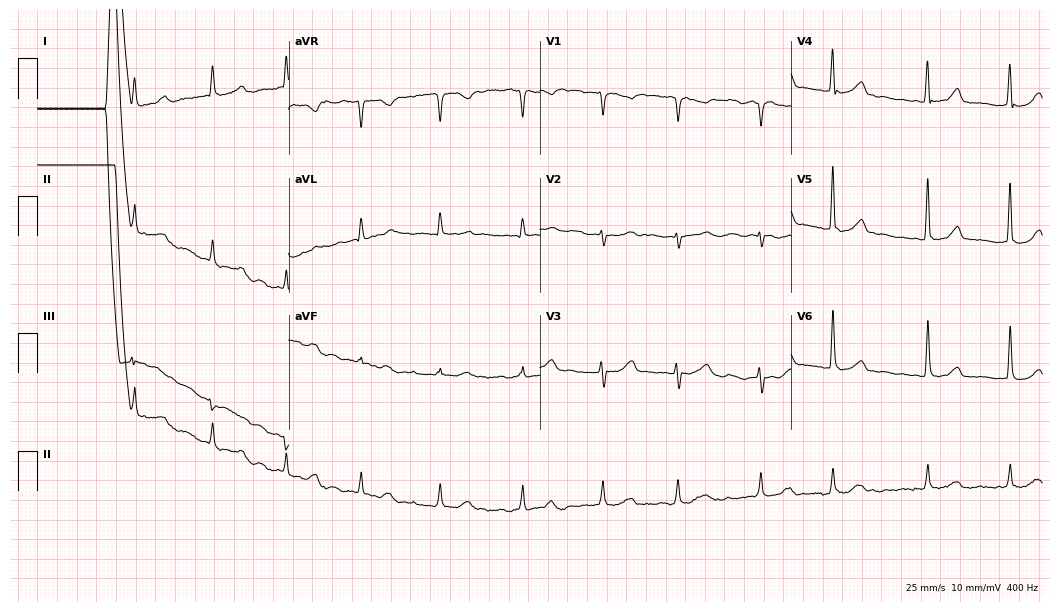
Electrocardiogram (10.2-second recording at 400 Hz), a 66-year-old woman. Interpretation includes atrial fibrillation.